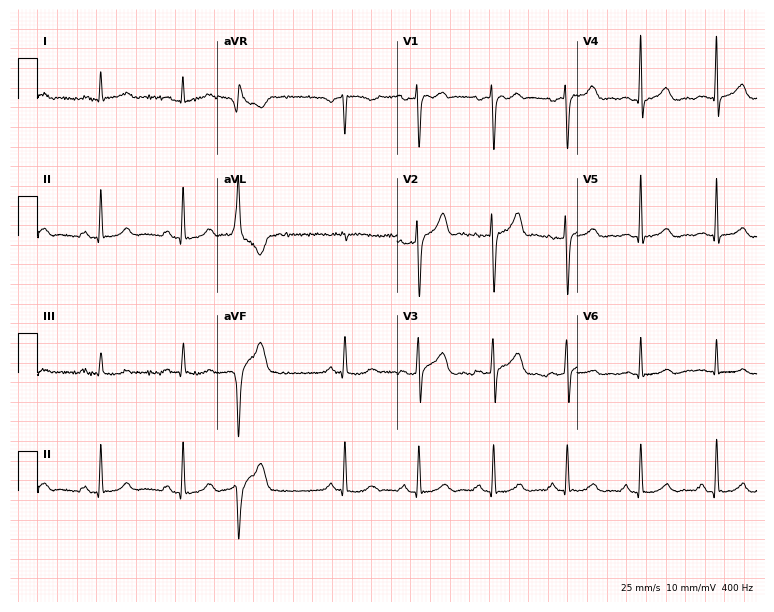
Electrocardiogram (7.3-second recording at 400 Hz), a male, 69 years old. Of the six screened findings (first-degree AV block, right bundle branch block (RBBB), left bundle branch block (LBBB), sinus bradycardia, atrial fibrillation (AF), sinus tachycardia), none is recorded.